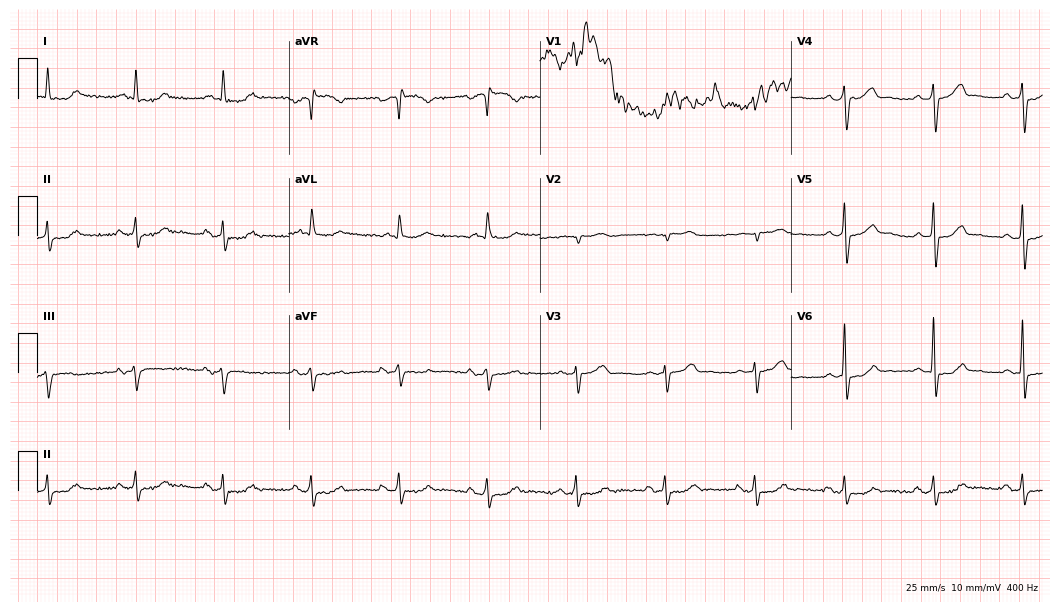
Electrocardiogram, a 77-year-old male patient. Of the six screened findings (first-degree AV block, right bundle branch block, left bundle branch block, sinus bradycardia, atrial fibrillation, sinus tachycardia), none is recorded.